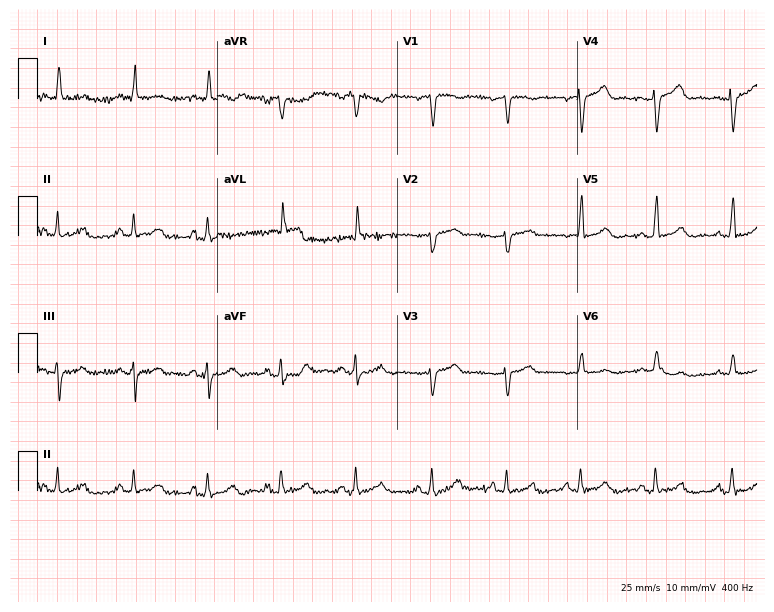
12-lead ECG from an 82-year-old woman (7.3-second recording at 400 Hz). No first-degree AV block, right bundle branch block, left bundle branch block, sinus bradycardia, atrial fibrillation or sinus tachycardia recorded for this tracing. Only these six findings were labelled.